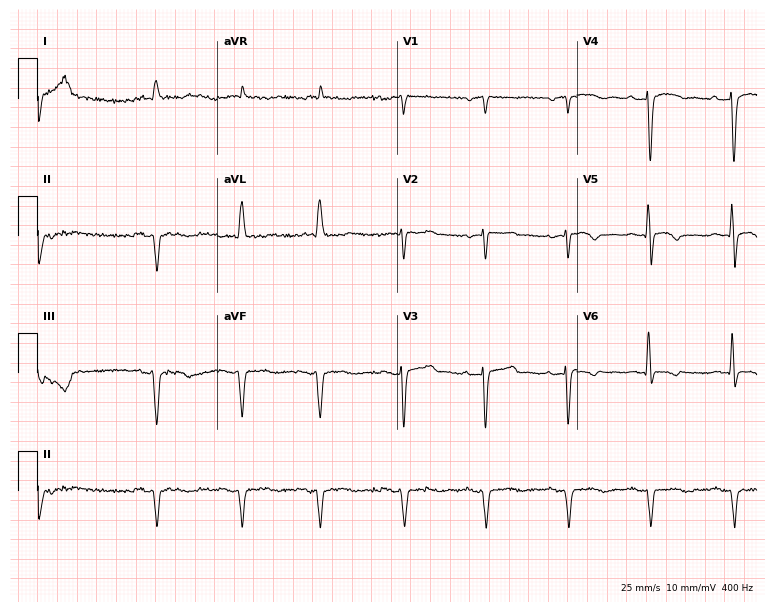
Electrocardiogram (7.3-second recording at 400 Hz), a male, 75 years old. Of the six screened findings (first-degree AV block, right bundle branch block (RBBB), left bundle branch block (LBBB), sinus bradycardia, atrial fibrillation (AF), sinus tachycardia), none is recorded.